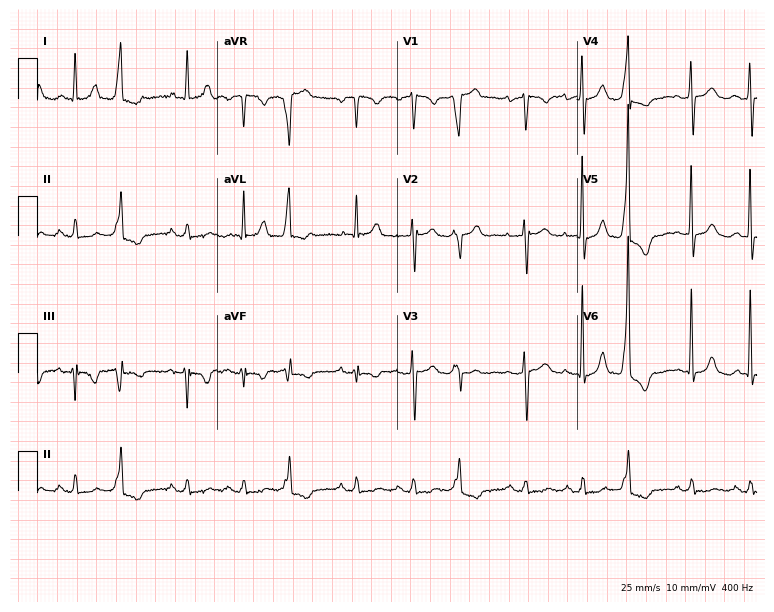
12-lead ECG from a 72-year-old female patient (7.3-second recording at 400 Hz). No first-degree AV block, right bundle branch block (RBBB), left bundle branch block (LBBB), sinus bradycardia, atrial fibrillation (AF) or sinus tachycardia recorded for this tracing.